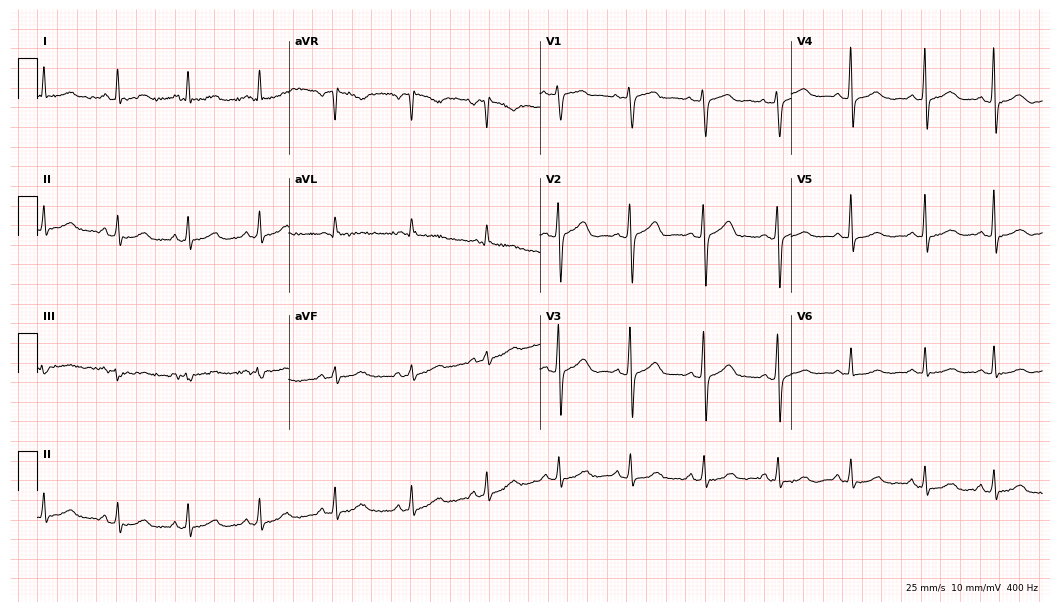
Electrocardiogram, a 56-year-old female. Overall reading on record: normal ECG.